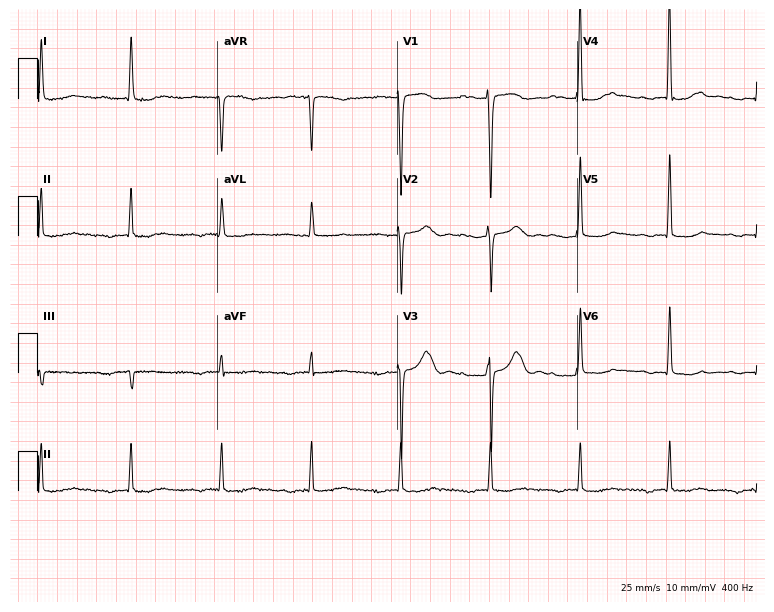
ECG — an 83-year-old male. Findings include first-degree AV block.